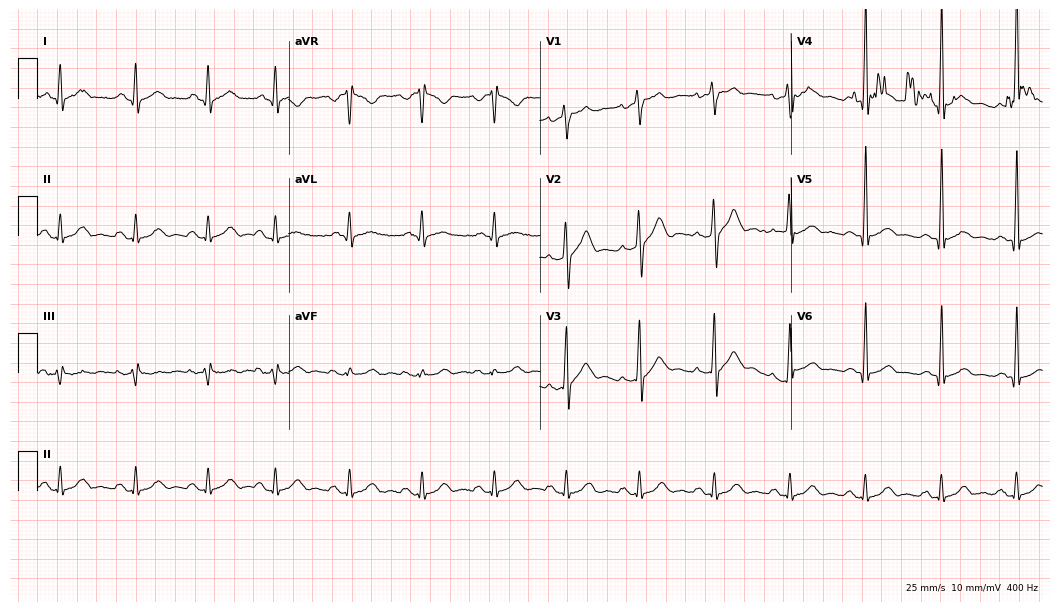
ECG (10.2-second recording at 400 Hz) — a 39-year-old male. Screened for six findings — first-degree AV block, right bundle branch block, left bundle branch block, sinus bradycardia, atrial fibrillation, sinus tachycardia — none is recorded. Findings outside these six are not listed.